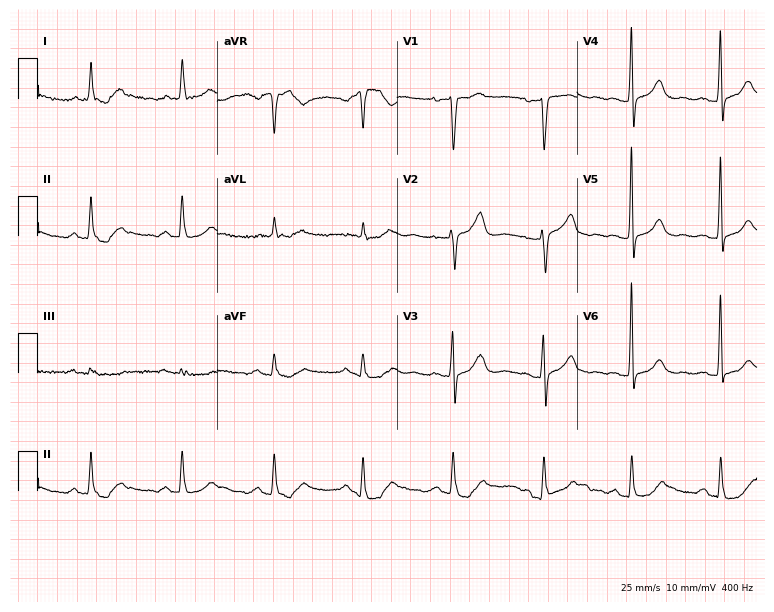
Standard 12-lead ECG recorded from a 75-year-old female patient (7.3-second recording at 400 Hz). None of these six findings is recorded: first-degree AV block, right bundle branch block, left bundle branch block, sinus bradycardia, atrial fibrillation, sinus tachycardia.